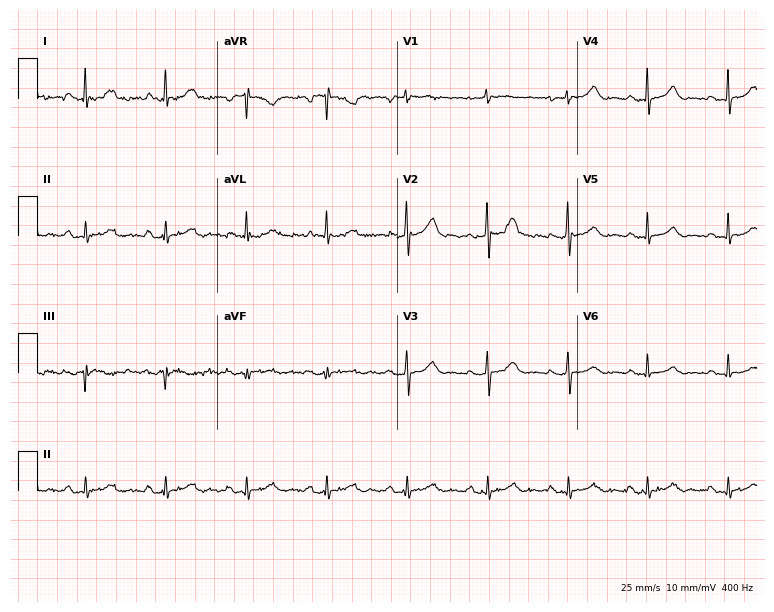
12-lead ECG from a female, 85 years old. Labelled as a normal ECG.